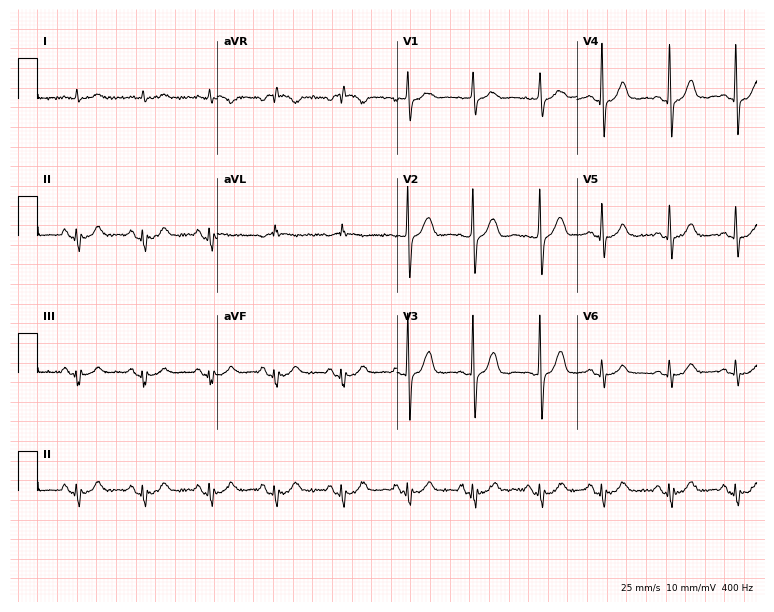
12-lead ECG from a 77-year-old female patient. Labelled as a normal ECG.